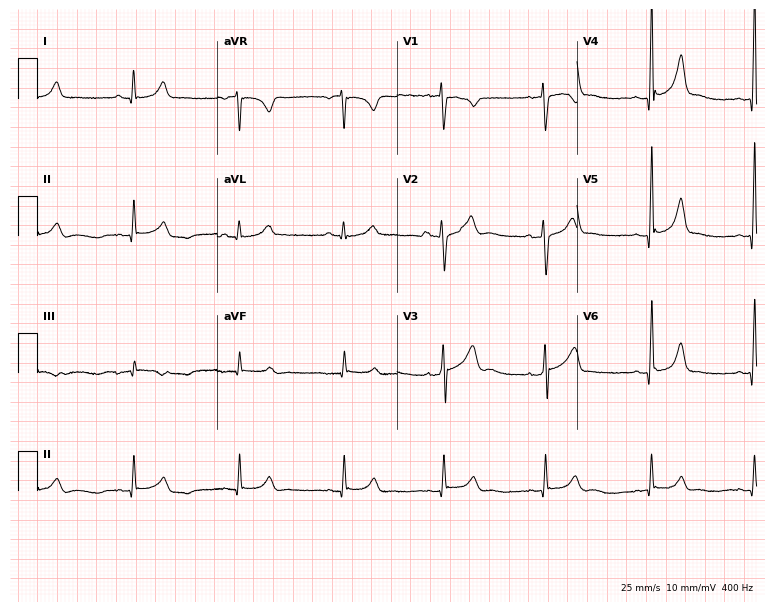
12-lead ECG (7.3-second recording at 400 Hz) from a 37-year-old man. Labelled as a normal ECG.